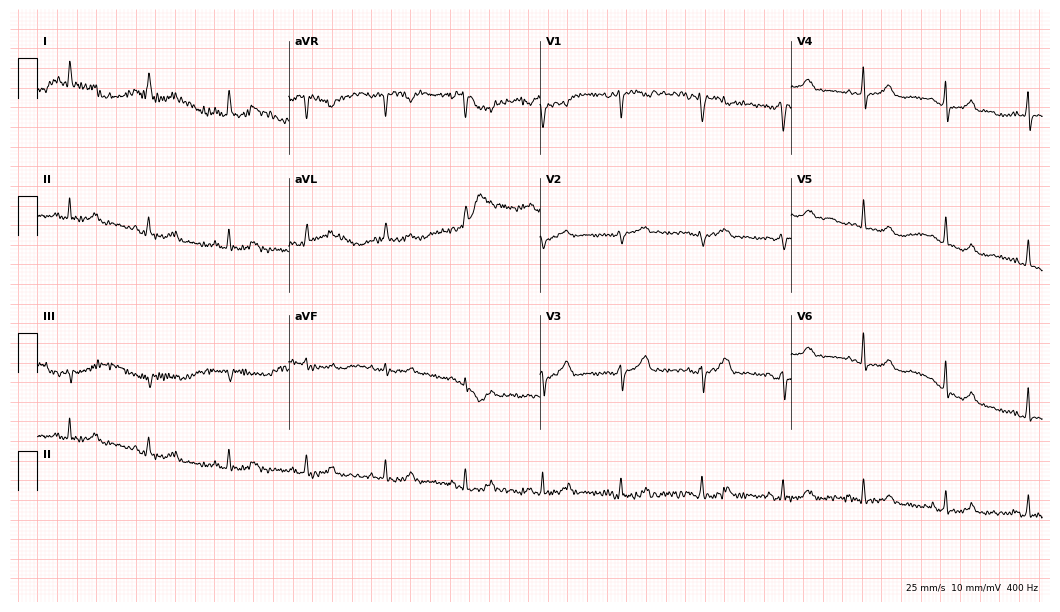
12-lead ECG from a 43-year-old female. Labelled as a normal ECG.